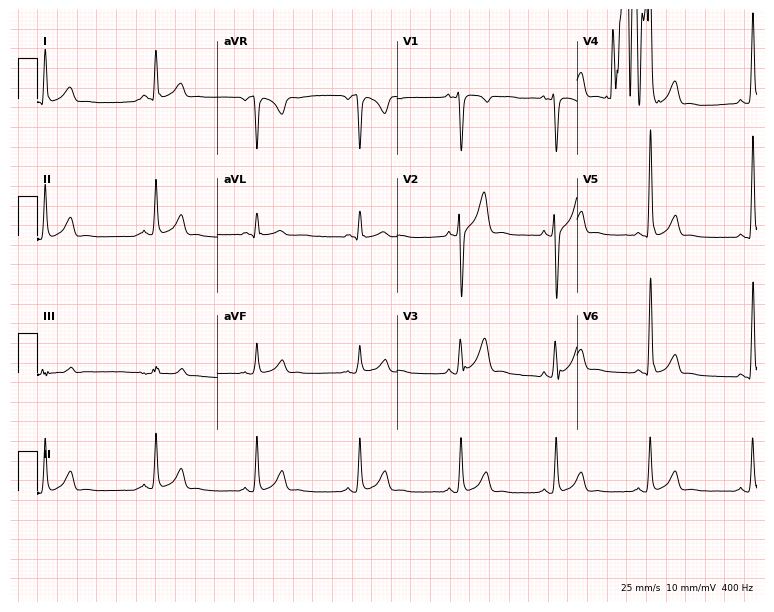
Electrocardiogram (7.3-second recording at 400 Hz), a 24-year-old male. Of the six screened findings (first-degree AV block, right bundle branch block (RBBB), left bundle branch block (LBBB), sinus bradycardia, atrial fibrillation (AF), sinus tachycardia), none is recorded.